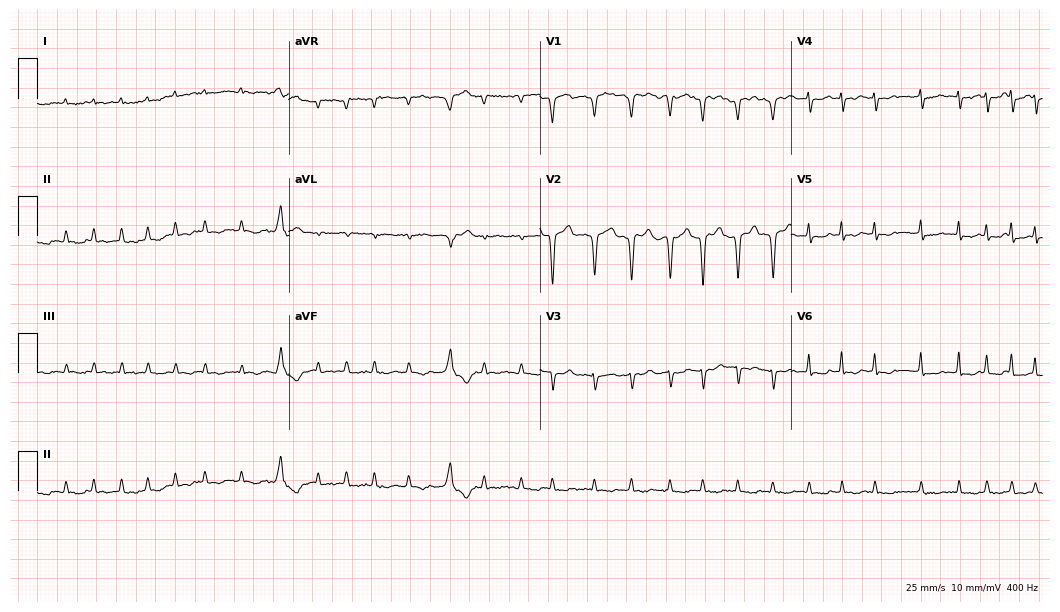
Resting 12-lead electrocardiogram. Patient: an 82-year-old male. The tracing shows atrial fibrillation.